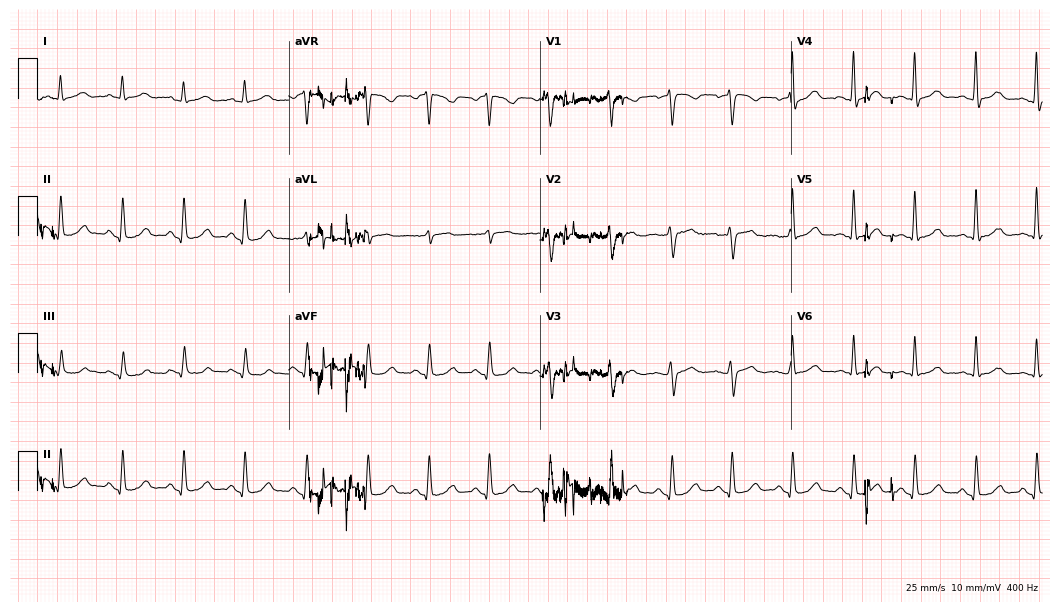
Electrocardiogram (10.2-second recording at 400 Hz), a 42-year-old female patient. Of the six screened findings (first-degree AV block, right bundle branch block (RBBB), left bundle branch block (LBBB), sinus bradycardia, atrial fibrillation (AF), sinus tachycardia), none is recorded.